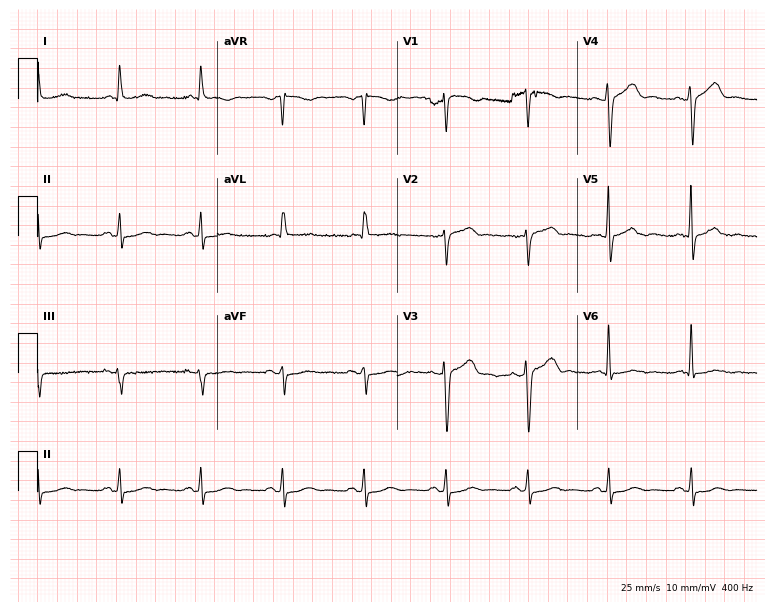
Standard 12-lead ECG recorded from a man, 63 years old (7.3-second recording at 400 Hz). Read as a normal ECG.